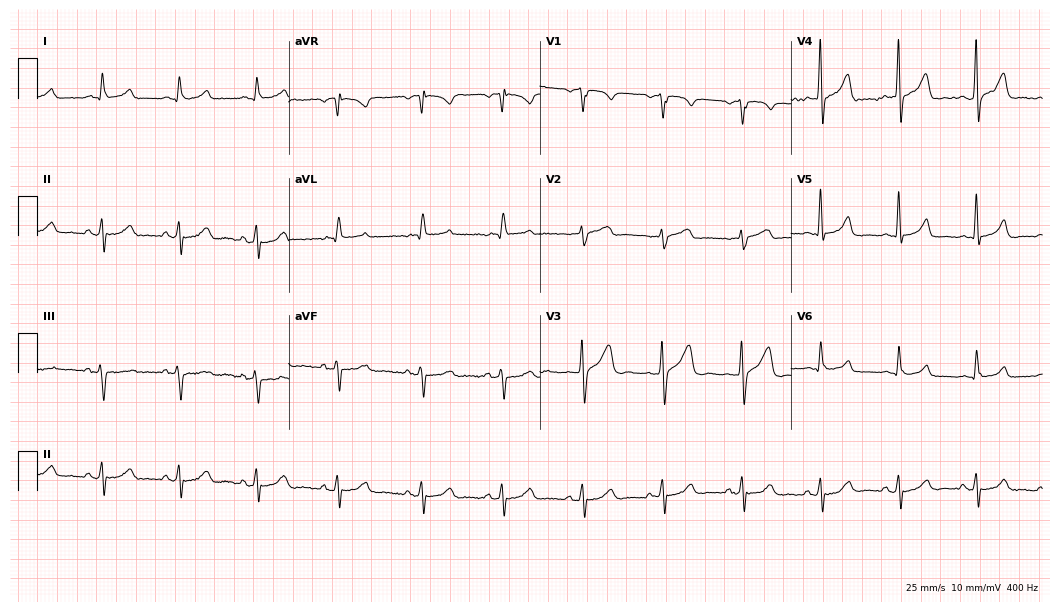
12-lead ECG from a man, 56 years old. Recorded interpretation: within normal limits.